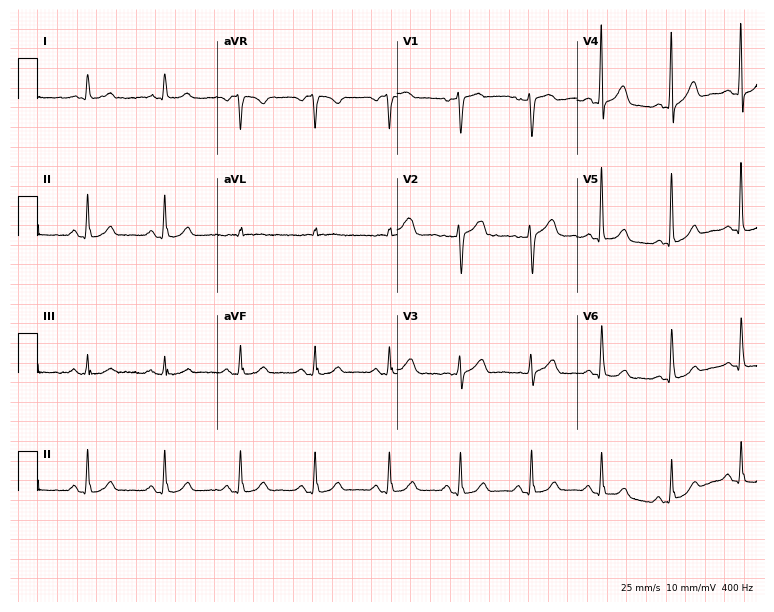
Electrocardiogram, a 54-year-old female patient. Of the six screened findings (first-degree AV block, right bundle branch block, left bundle branch block, sinus bradycardia, atrial fibrillation, sinus tachycardia), none is recorded.